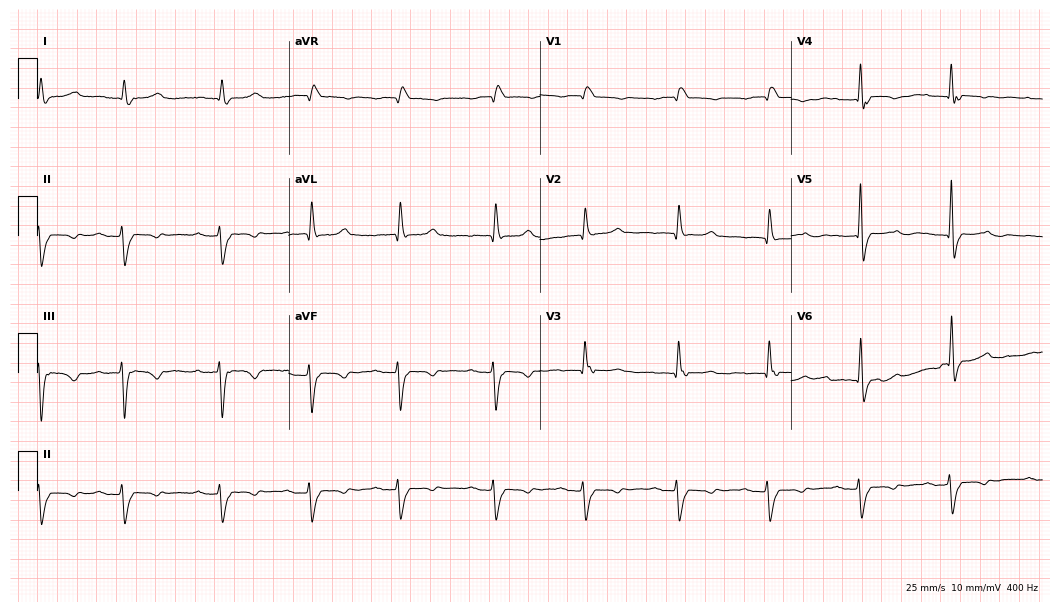
ECG — a woman, 85 years old. Findings include first-degree AV block, right bundle branch block (RBBB).